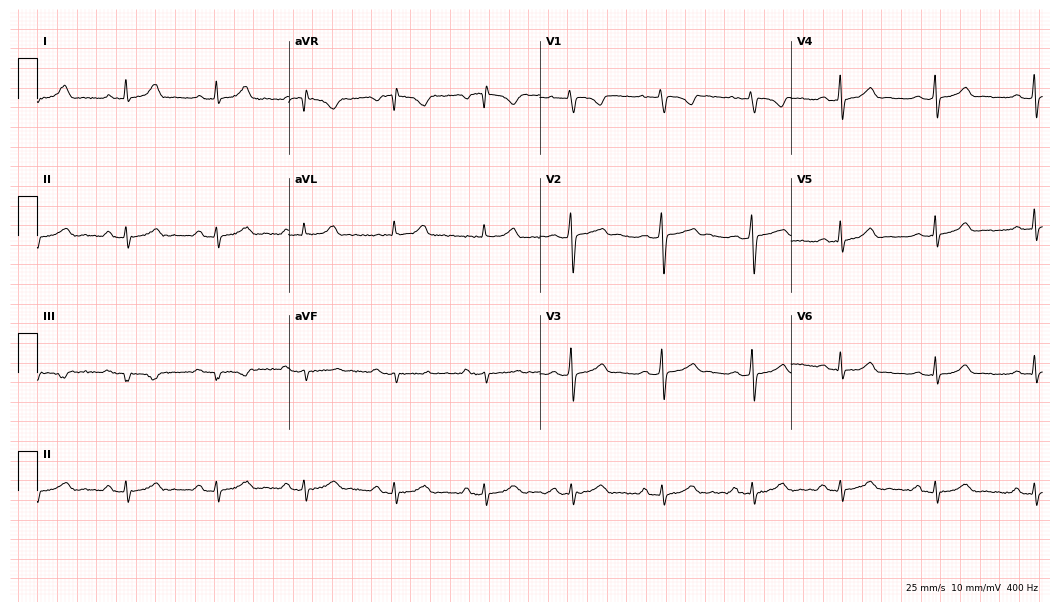
ECG (10.2-second recording at 400 Hz) — a 47-year-old woman. Labelled as a normal ECG.